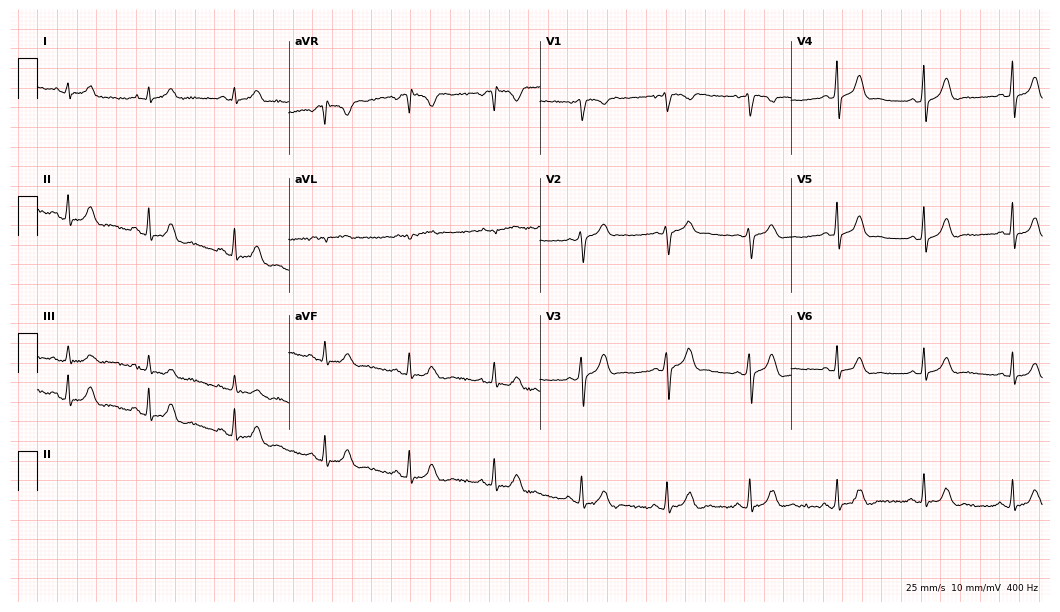
ECG — a 29-year-old female patient. Labelled as a normal ECG.